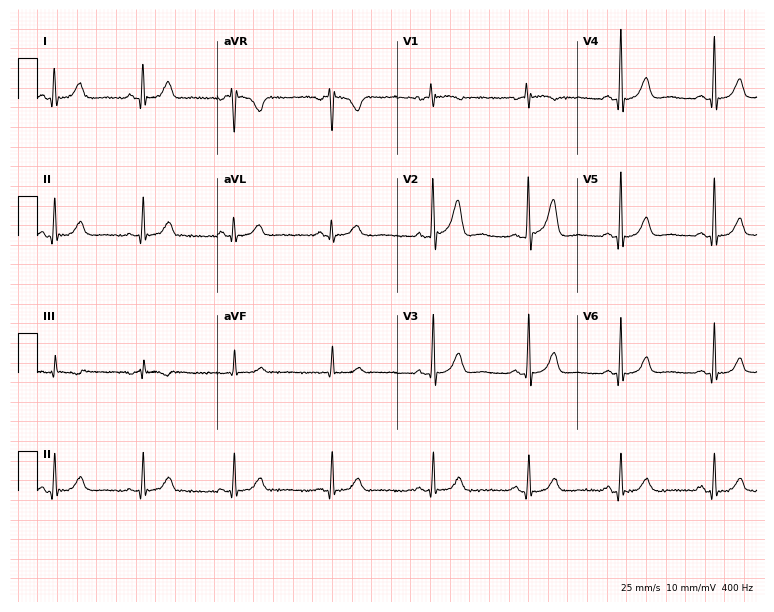
Resting 12-lead electrocardiogram (7.3-second recording at 400 Hz). Patient: a 63-year-old female. Read as a normal ECG.